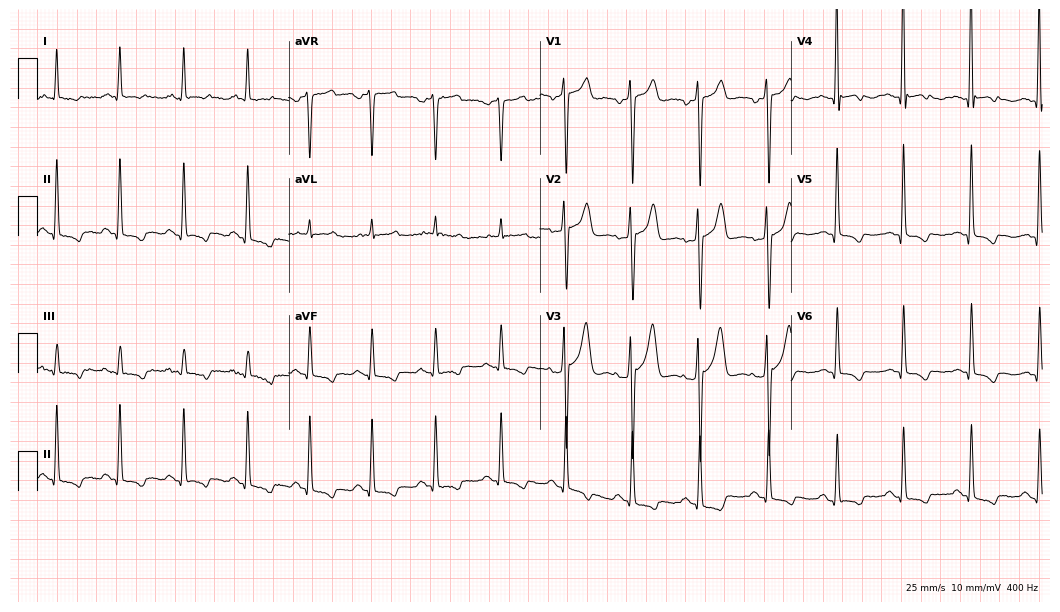
ECG — a man, 37 years old. Labelled as a normal ECG.